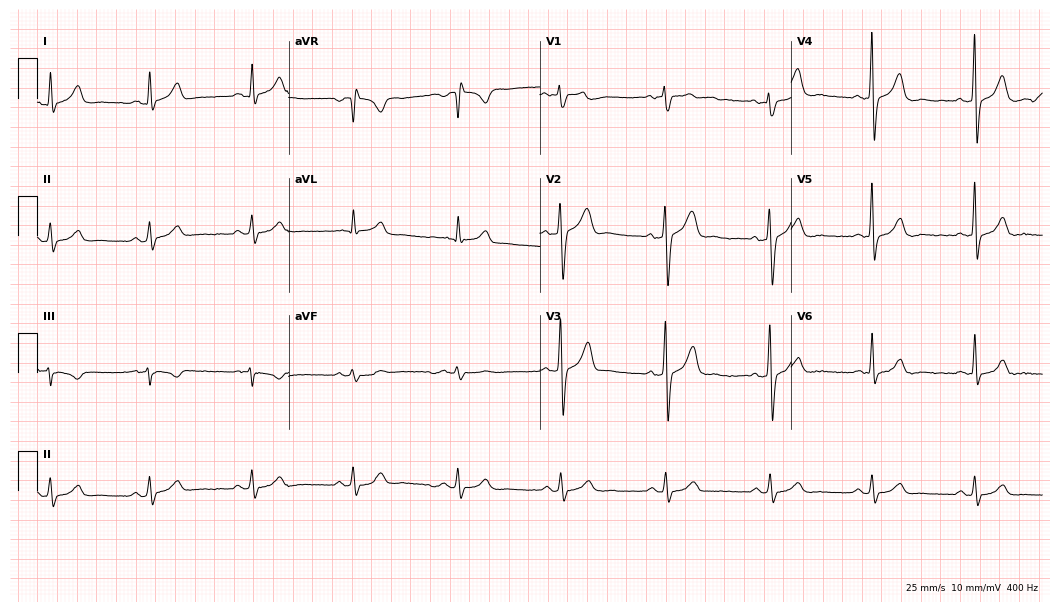
Resting 12-lead electrocardiogram (10.2-second recording at 400 Hz). Patient: a 53-year-old man. Read as a normal ECG.